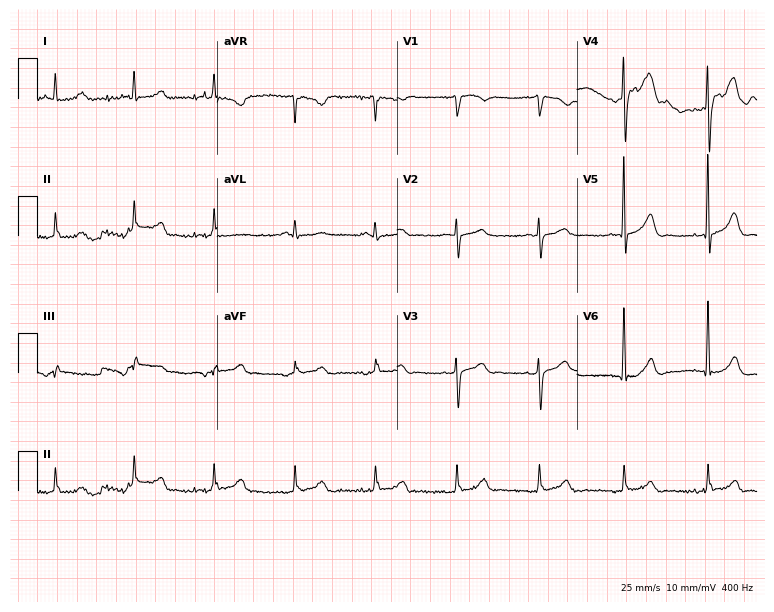
12-lead ECG (7.3-second recording at 400 Hz) from a 71-year-old male patient. Labelled as a normal ECG.